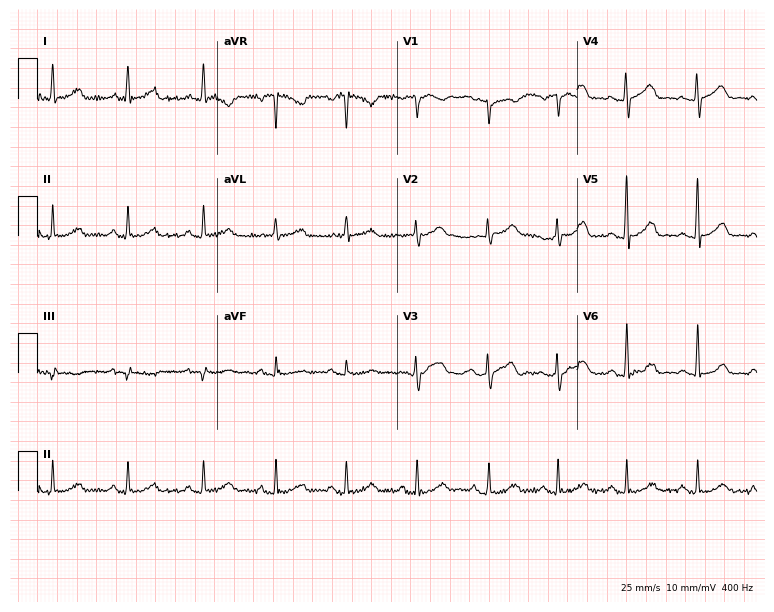
ECG — a 43-year-old female patient. Labelled as a normal ECG.